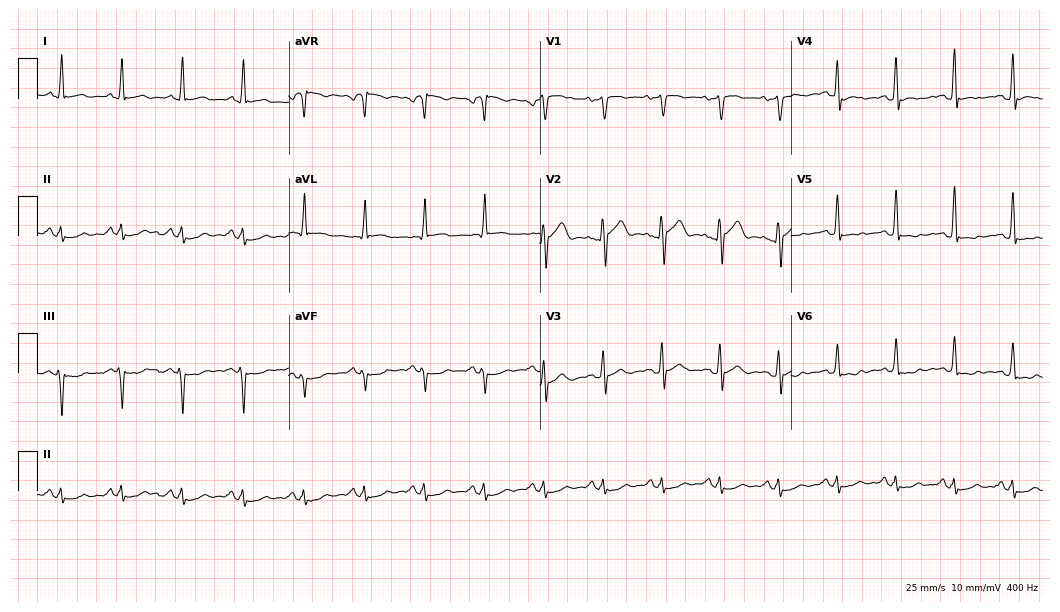
12-lead ECG from a man, 40 years old. No first-degree AV block, right bundle branch block (RBBB), left bundle branch block (LBBB), sinus bradycardia, atrial fibrillation (AF) or sinus tachycardia recorded for this tracing.